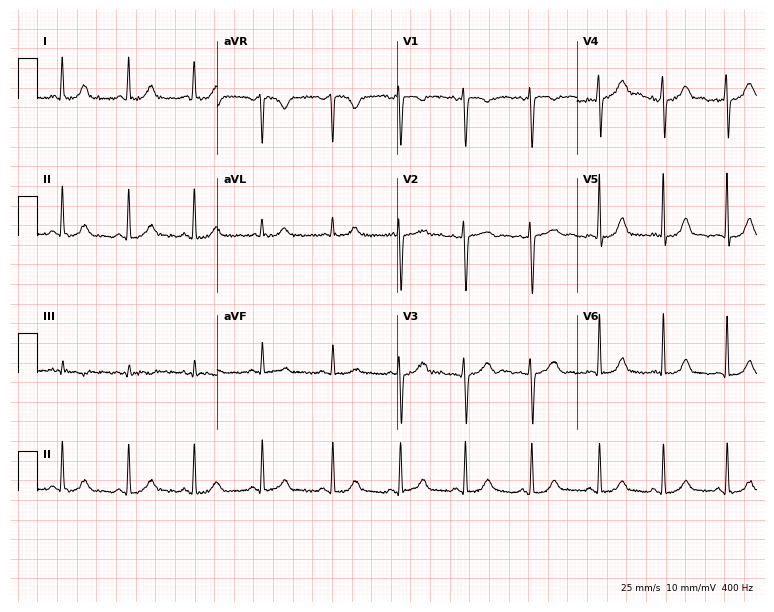
Electrocardiogram (7.3-second recording at 400 Hz), a 29-year-old female. Of the six screened findings (first-degree AV block, right bundle branch block (RBBB), left bundle branch block (LBBB), sinus bradycardia, atrial fibrillation (AF), sinus tachycardia), none is recorded. Findings outside these six are not listed.